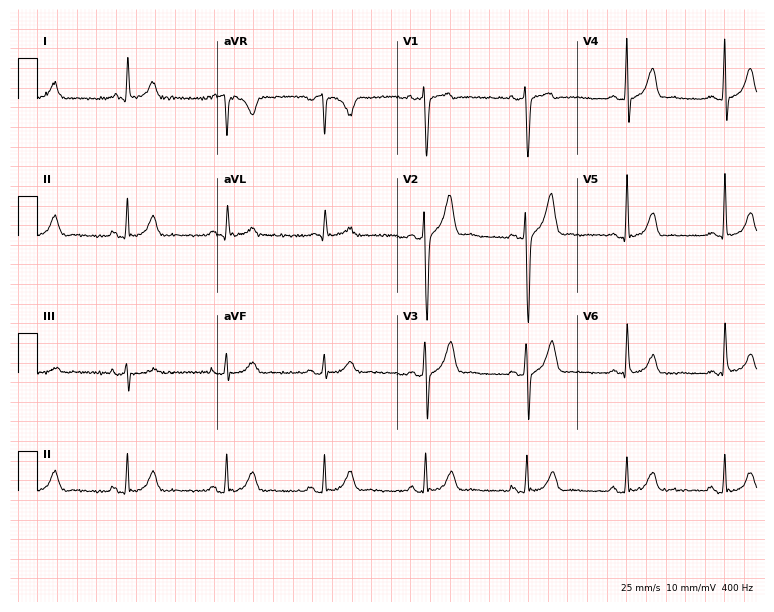
12-lead ECG from a 35-year-old male patient. No first-degree AV block, right bundle branch block, left bundle branch block, sinus bradycardia, atrial fibrillation or sinus tachycardia recorded for this tracing. Findings outside these six are not listed.